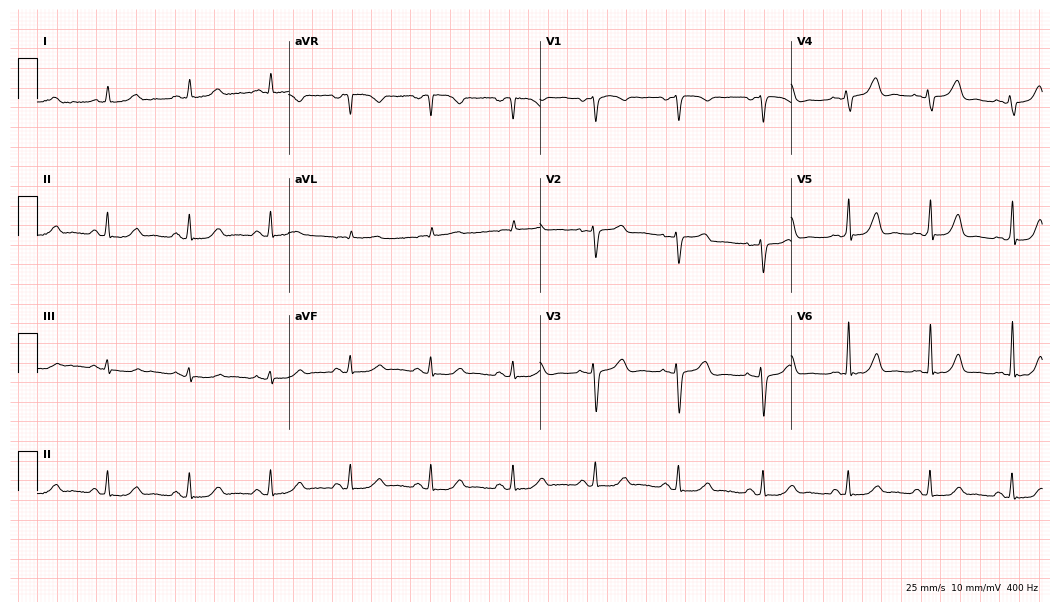
ECG (10.2-second recording at 400 Hz) — a female patient, 53 years old. Labelled as a normal ECG.